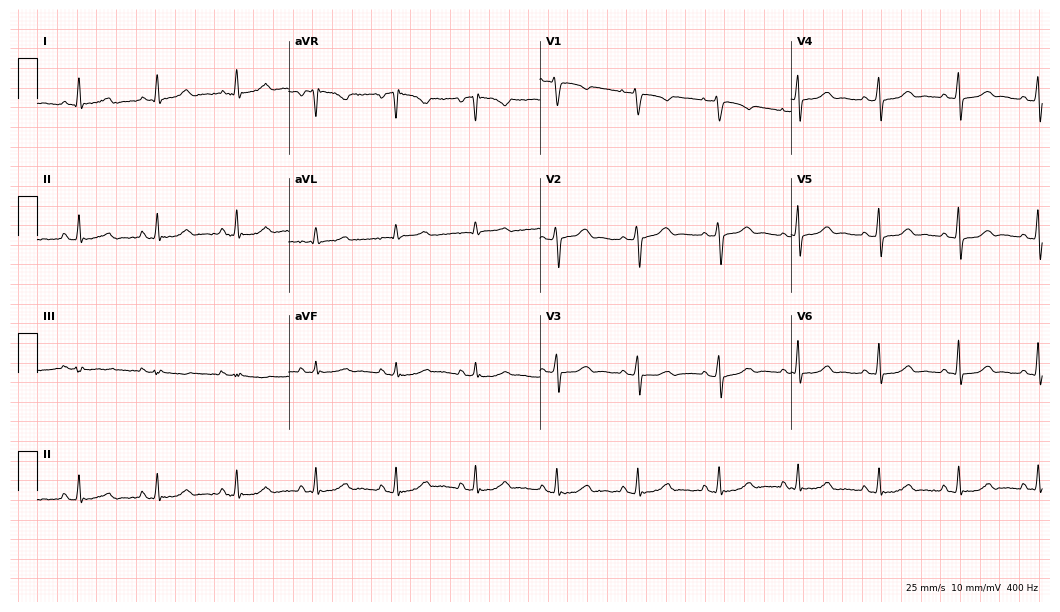
12-lead ECG from a female, 43 years old. Labelled as a normal ECG.